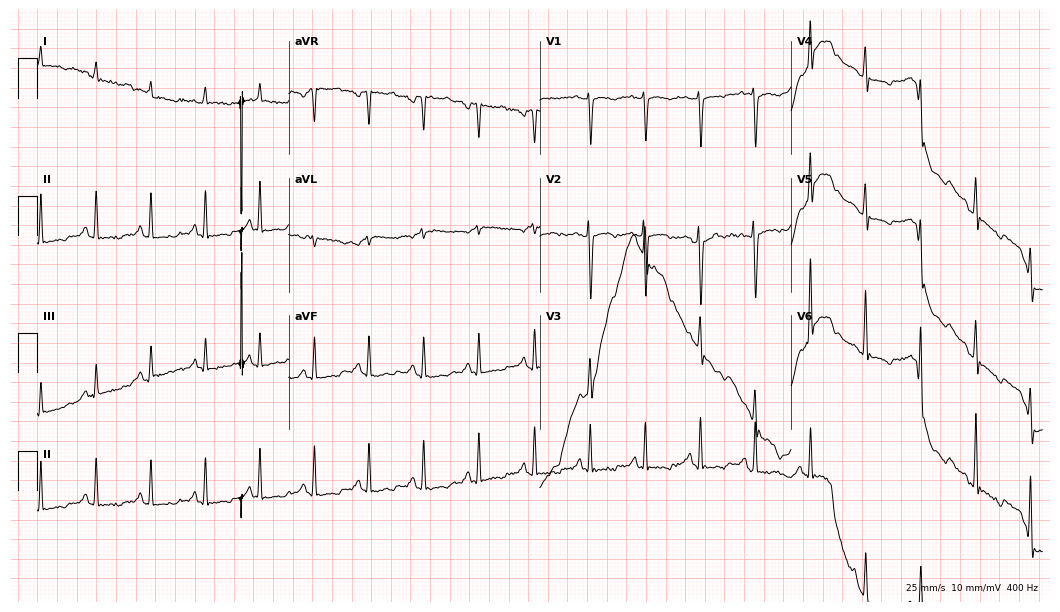
ECG — a female patient, 66 years old. Findings include sinus tachycardia (a sinus rate of 100 beats per minute or more).